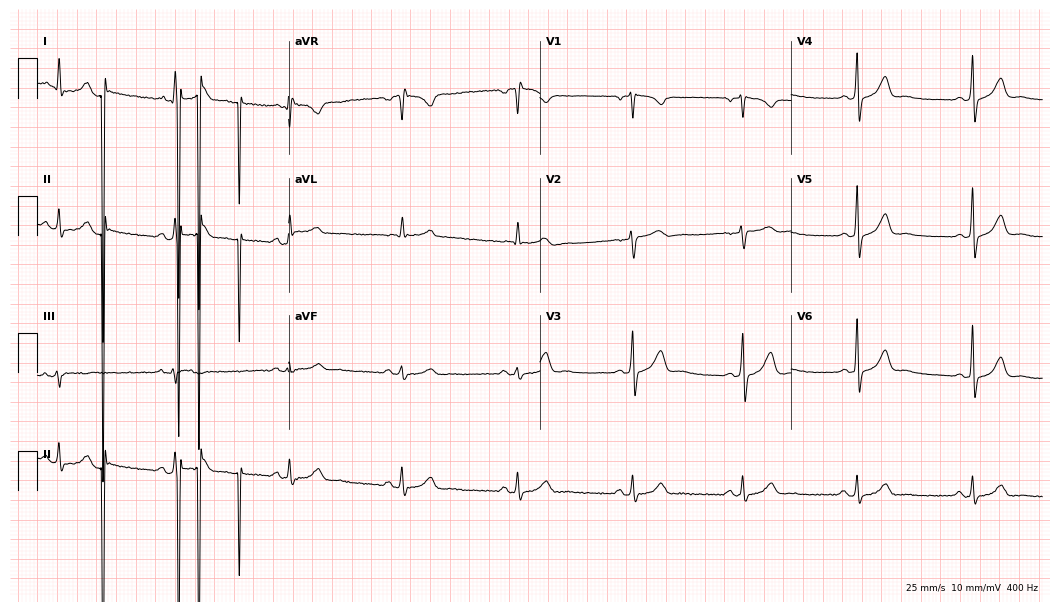
12-lead ECG from a male patient, 37 years old (10.2-second recording at 400 Hz). No first-degree AV block, right bundle branch block (RBBB), left bundle branch block (LBBB), sinus bradycardia, atrial fibrillation (AF) or sinus tachycardia recorded for this tracing. Other findings, if any, are not listed.